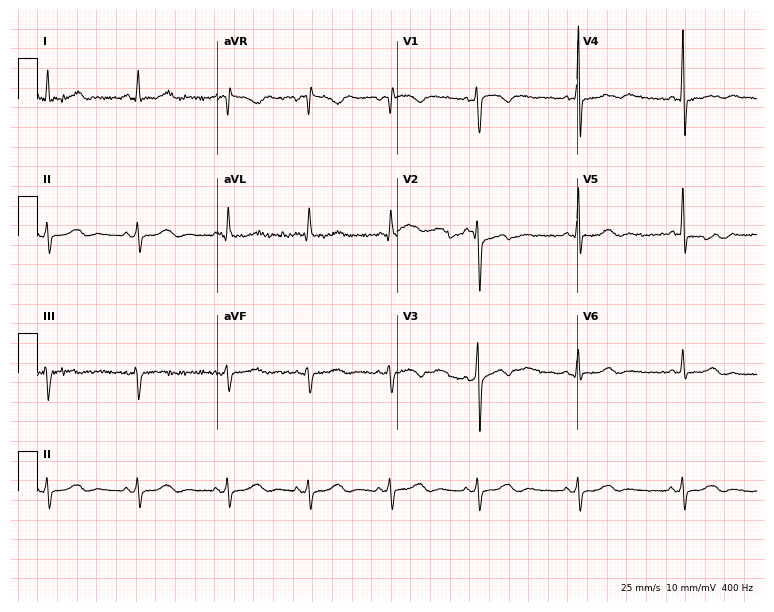
Standard 12-lead ECG recorded from a 50-year-old female. None of these six findings is recorded: first-degree AV block, right bundle branch block, left bundle branch block, sinus bradycardia, atrial fibrillation, sinus tachycardia.